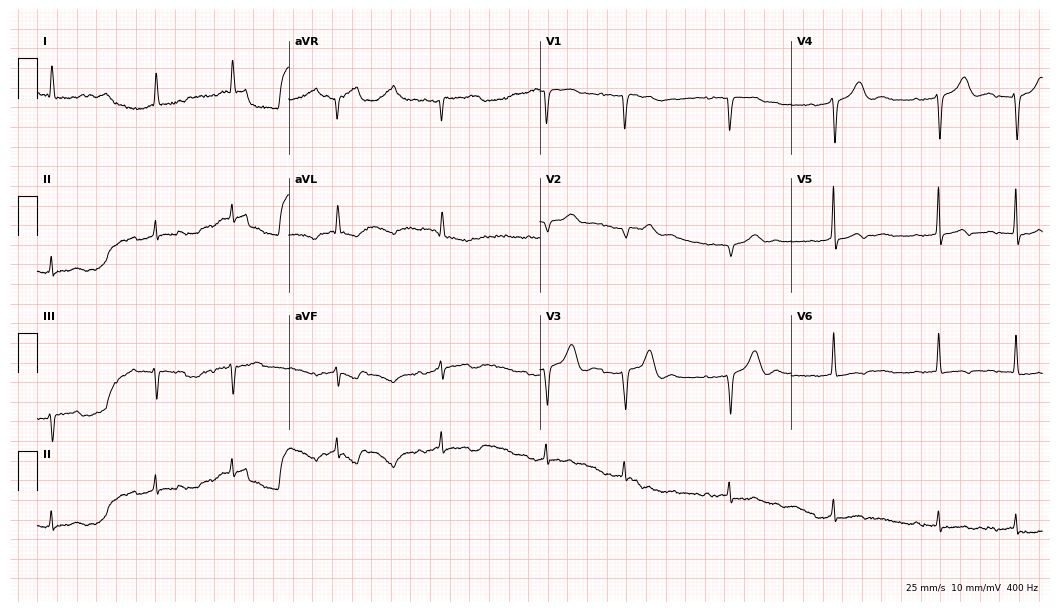
ECG — an 85-year-old female. Screened for six findings — first-degree AV block, right bundle branch block, left bundle branch block, sinus bradycardia, atrial fibrillation, sinus tachycardia — none is recorded. Other findings, if any, are not listed.